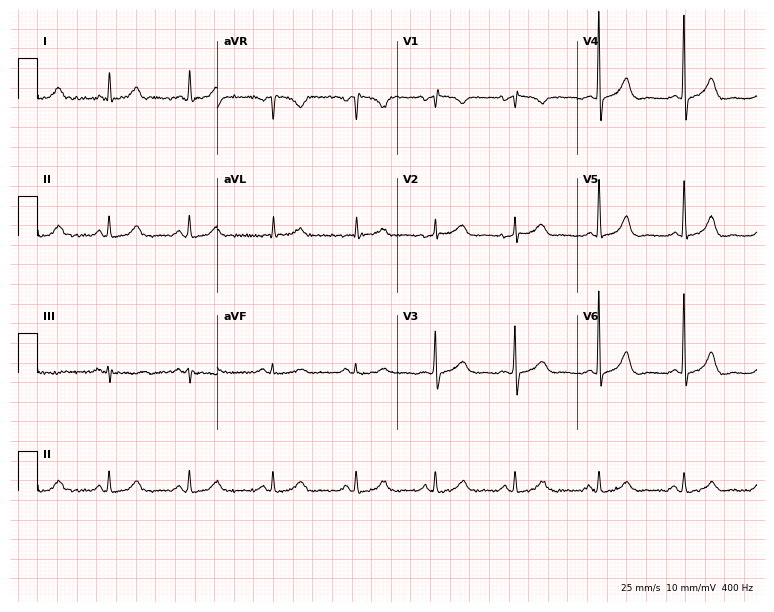
Resting 12-lead electrocardiogram. Patient: a woman, 75 years old. None of these six findings is recorded: first-degree AV block, right bundle branch block, left bundle branch block, sinus bradycardia, atrial fibrillation, sinus tachycardia.